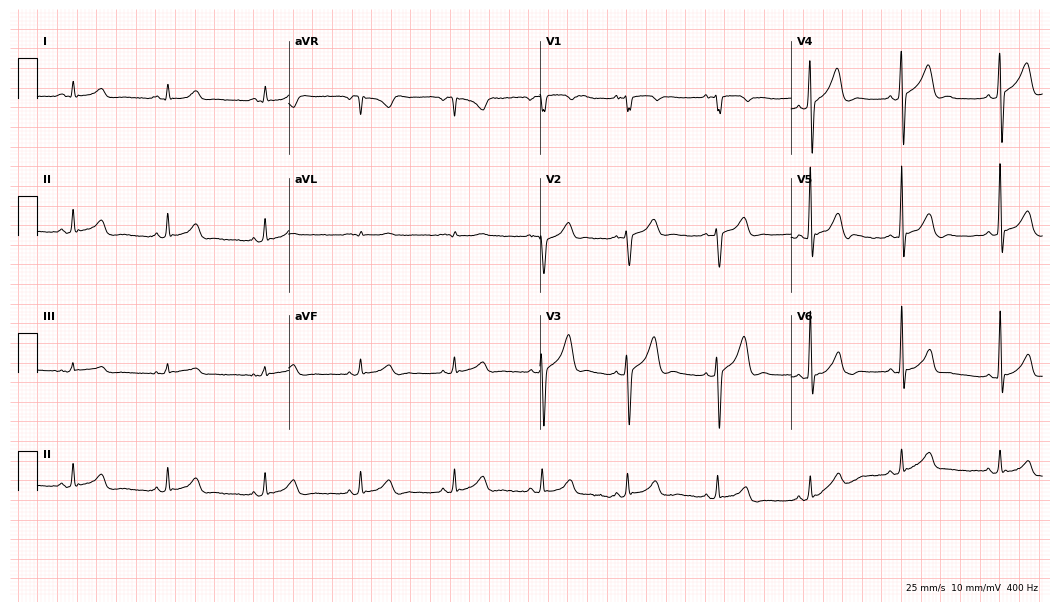
Standard 12-lead ECG recorded from a 17-year-old male patient. Read as a normal ECG.